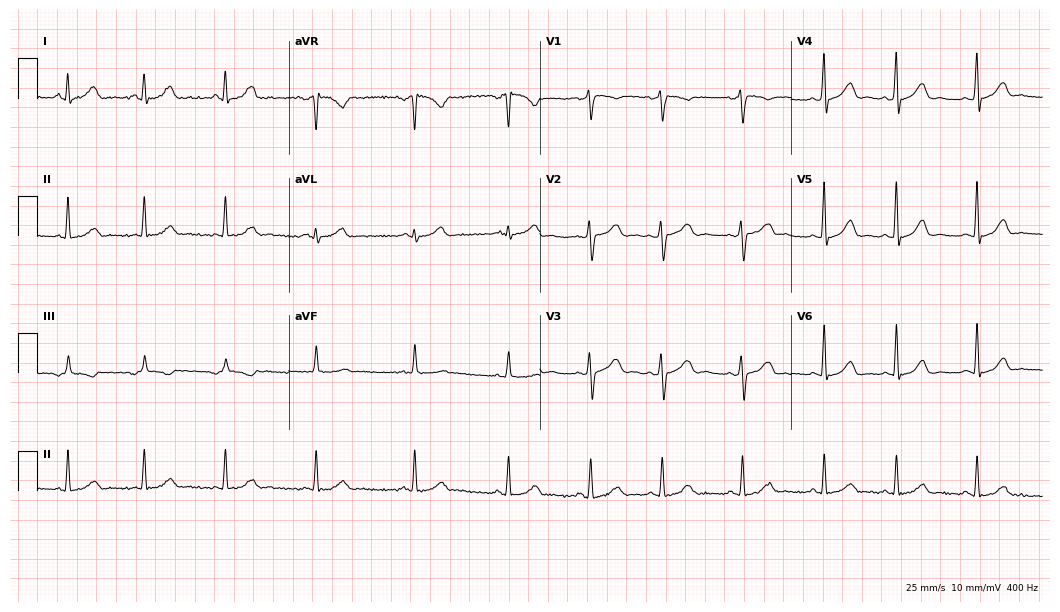
12-lead ECG (10.2-second recording at 400 Hz) from a female patient, 36 years old. Labelled as a normal ECG.